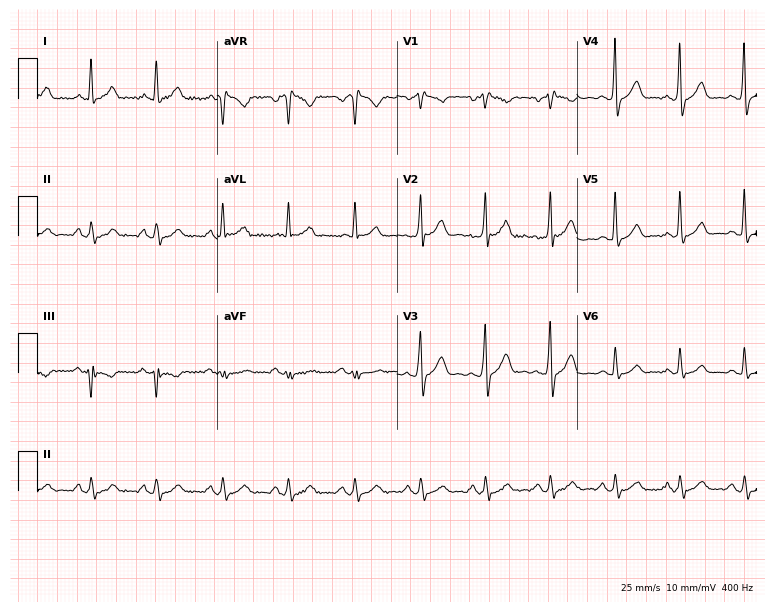
12-lead ECG from a 48-year-old male. Screened for six findings — first-degree AV block, right bundle branch block, left bundle branch block, sinus bradycardia, atrial fibrillation, sinus tachycardia — none is recorded. Findings outside these six are not listed.